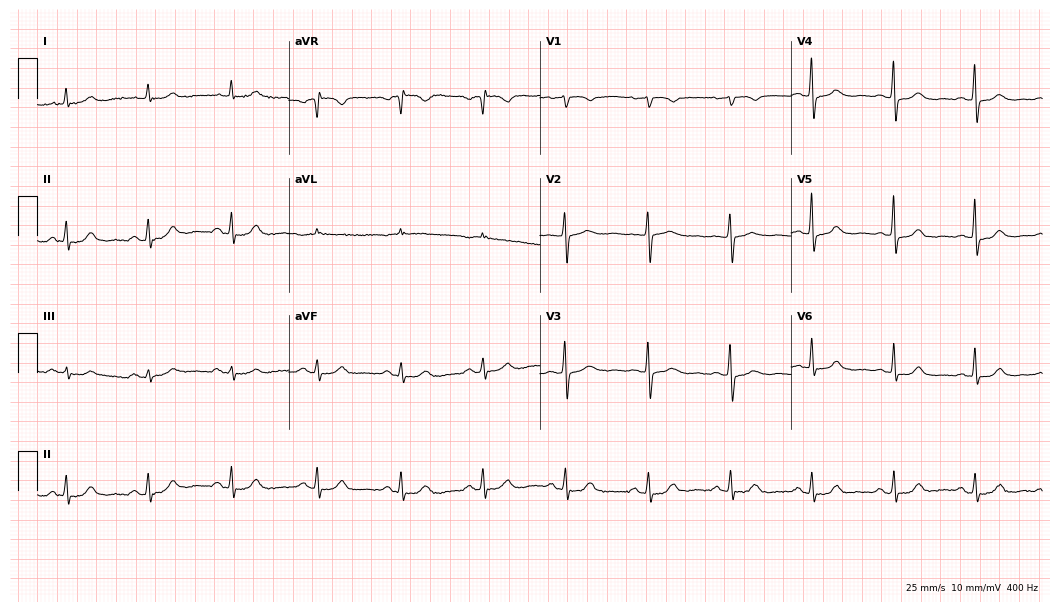
12-lead ECG from a 63-year-old female patient. Recorded interpretation: within normal limits.